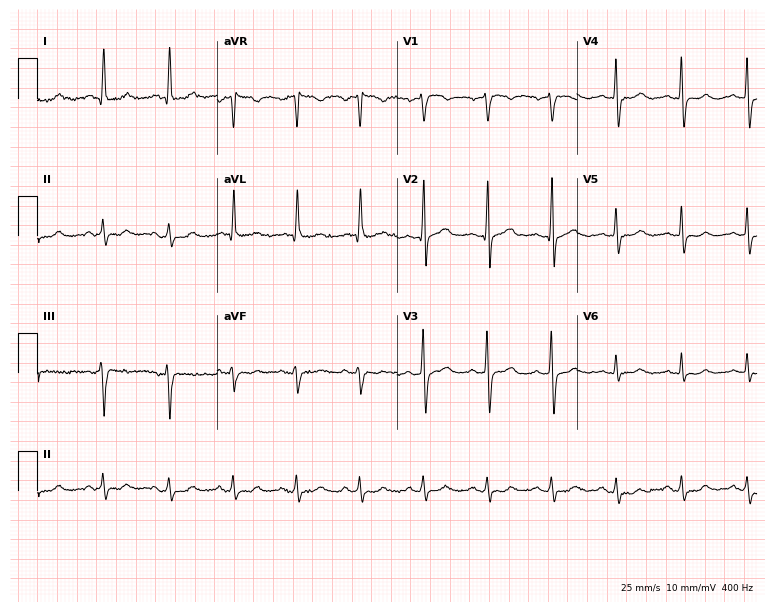
12-lead ECG from a male, 63 years old. Recorded interpretation: within normal limits.